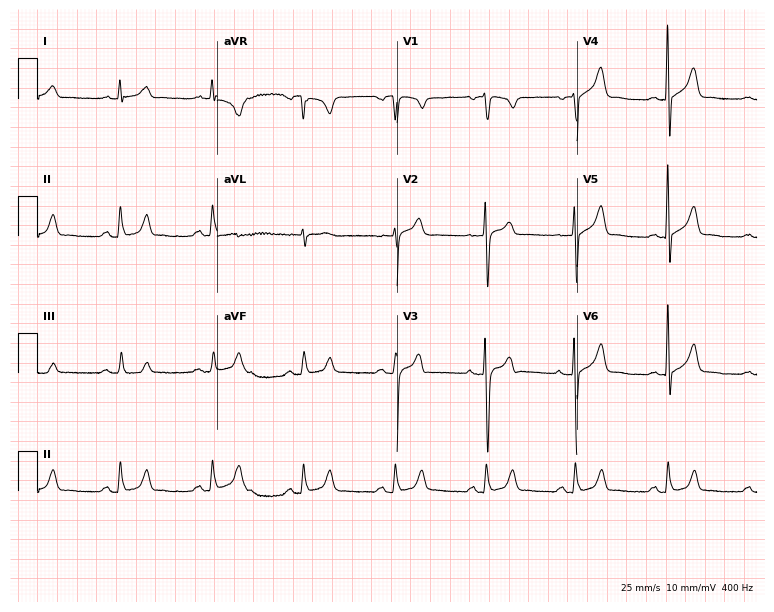
12-lead ECG from a 55-year-old man. Recorded interpretation: within normal limits.